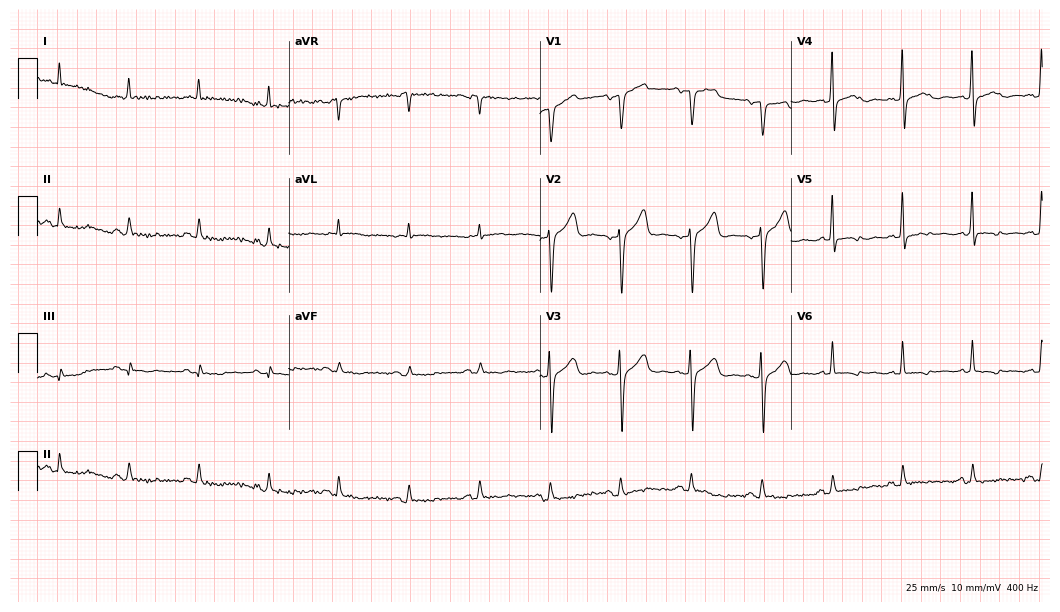
ECG — a 77-year-old male patient. Screened for six findings — first-degree AV block, right bundle branch block (RBBB), left bundle branch block (LBBB), sinus bradycardia, atrial fibrillation (AF), sinus tachycardia — none is recorded. Only these six findings were labelled.